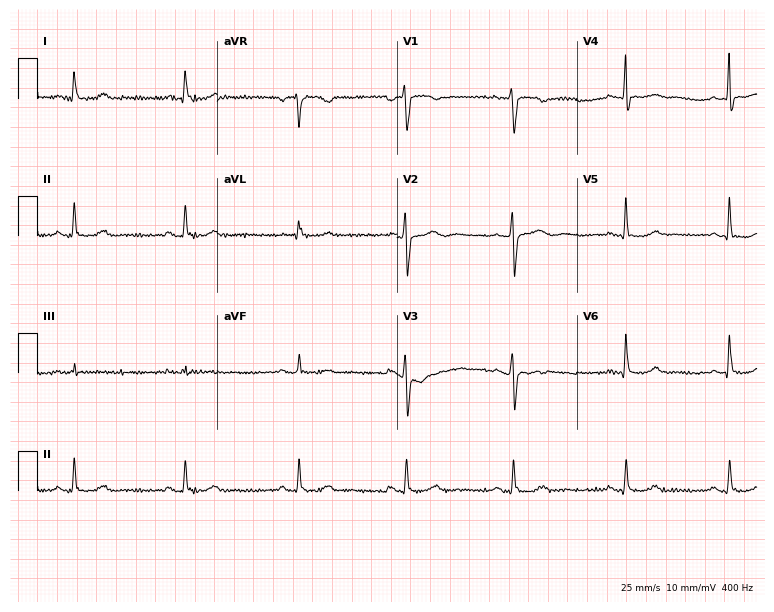
Resting 12-lead electrocardiogram (7.3-second recording at 400 Hz). Patient: a woman, 55 years old. Read as a normal ECG.